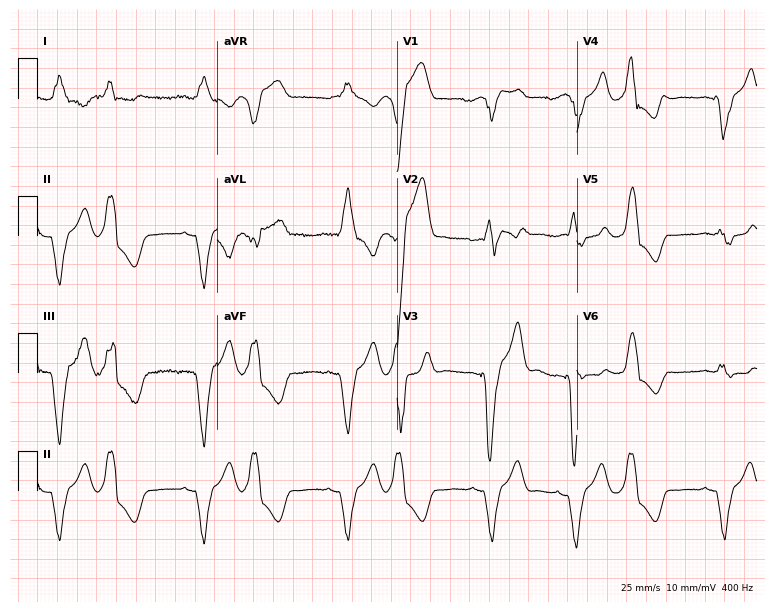
ECG — a man, 38 years old. Screened for six findings — first-degree AV block, right bundle branch block (RBBB), left bundle branch block (LBBB), sinus bradycardia, atrial fibrillation (AF), sinus tachycardia — none is recorded.